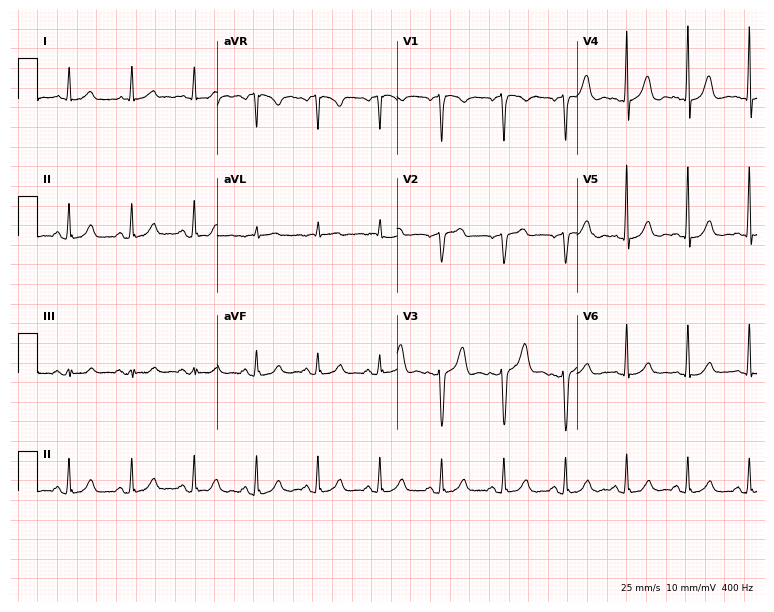
12-lead ECG (7.3-second recording at 400 Hz) from a 55-year-old male. Labelled as a normal ECG.